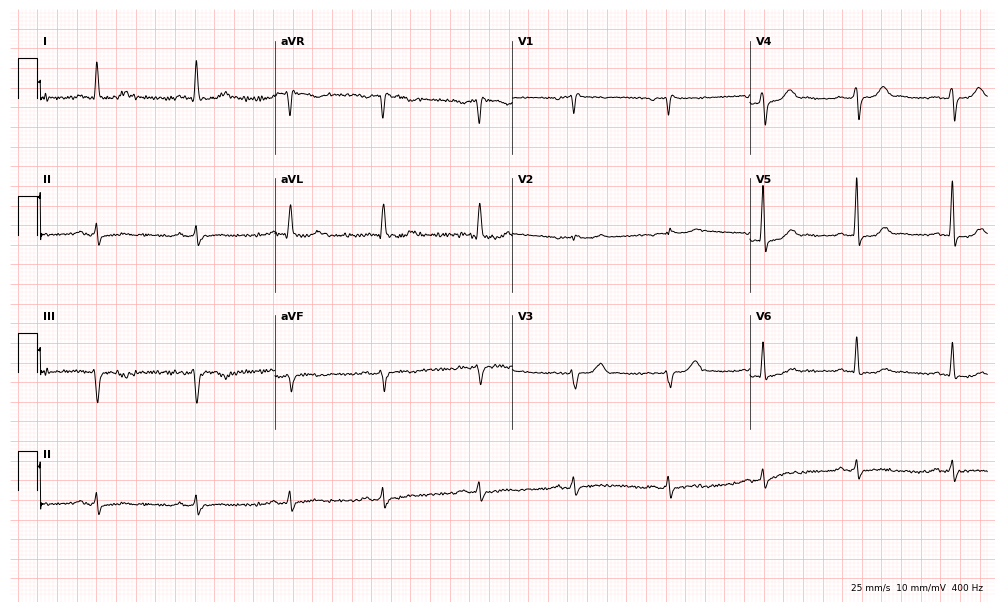
12-lead ECG from a 65-year-old man. No first-degree AV block, right bundle branch block, left bundle branch block, sinus bradycardia, atrial fibrillation or sinus tachycardia recorded for this tracing.